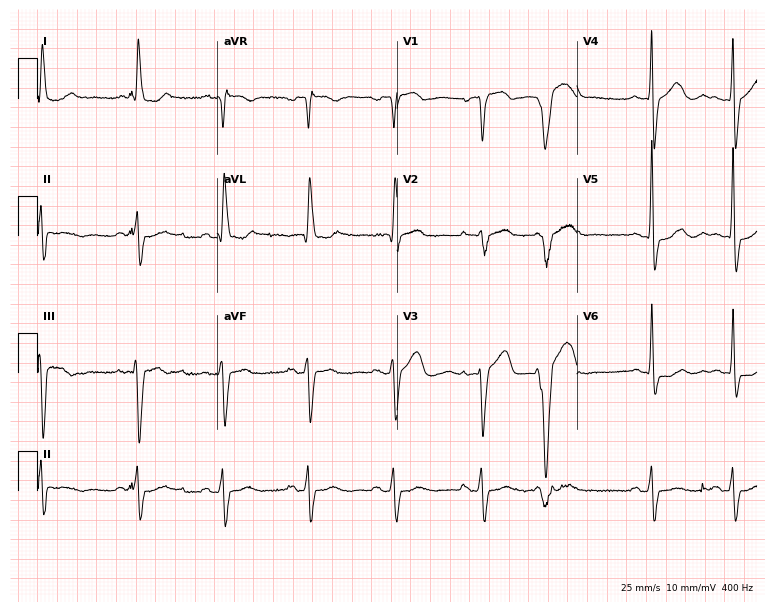
12-lead ECG from a 79-year-old woman (7.3-second recording at 400 Hz). No first-degree AV block, right bundle branch block, left bundle branch block, sinus bradycardia, atrial fibrillation or sinus tachycardia recorded for this tracing. Other findings, if any, are not listed.